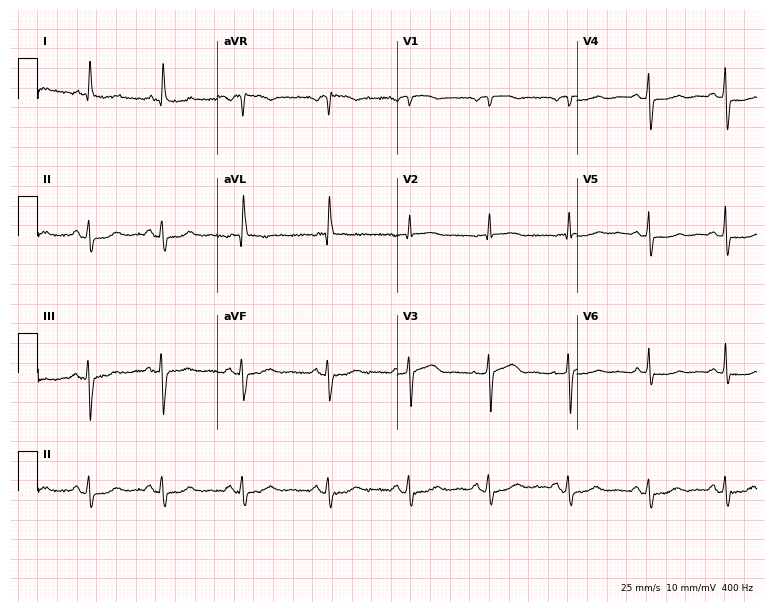
12-lead ECG from a 68-year-old female patient. Labelled as a normal ECG.